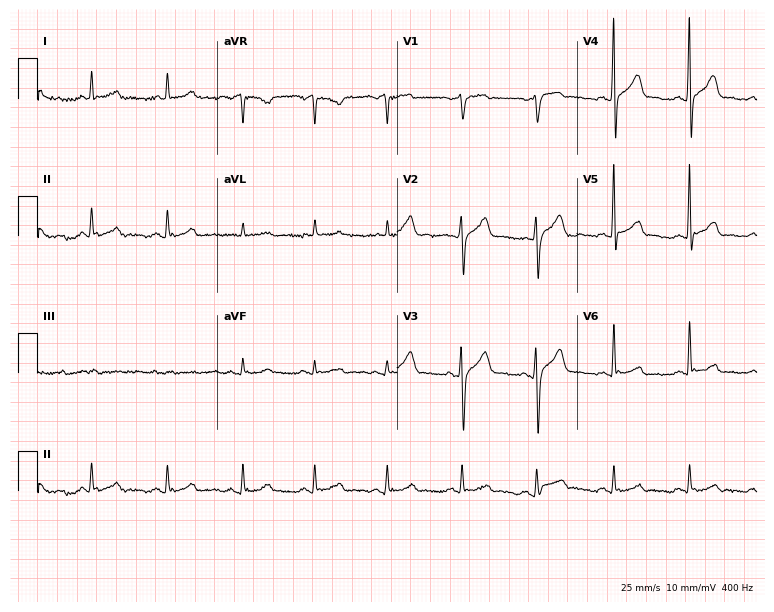
Electrocardiogram, a 63-year-old male. Overall reading on record: normal ECG.